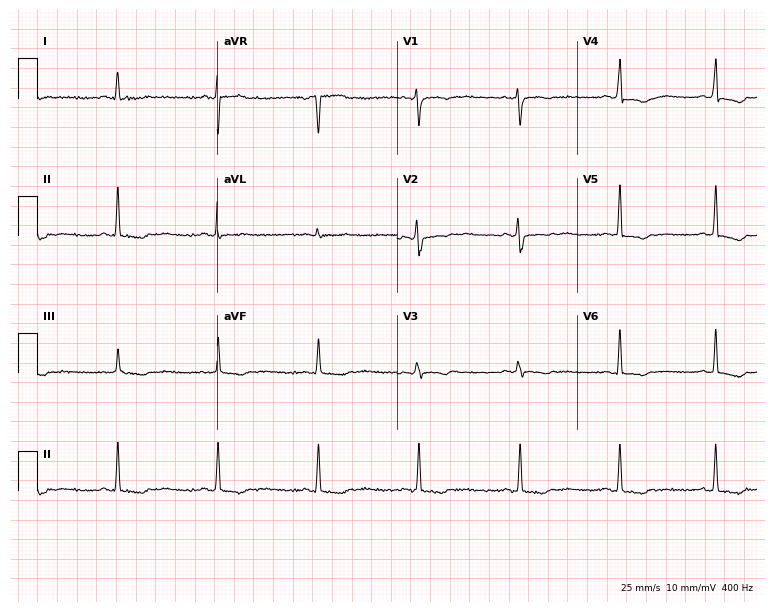
Resting 12-lead electrocardiogram. Patient: a woman, 40 years old. Read as a normal ECG.